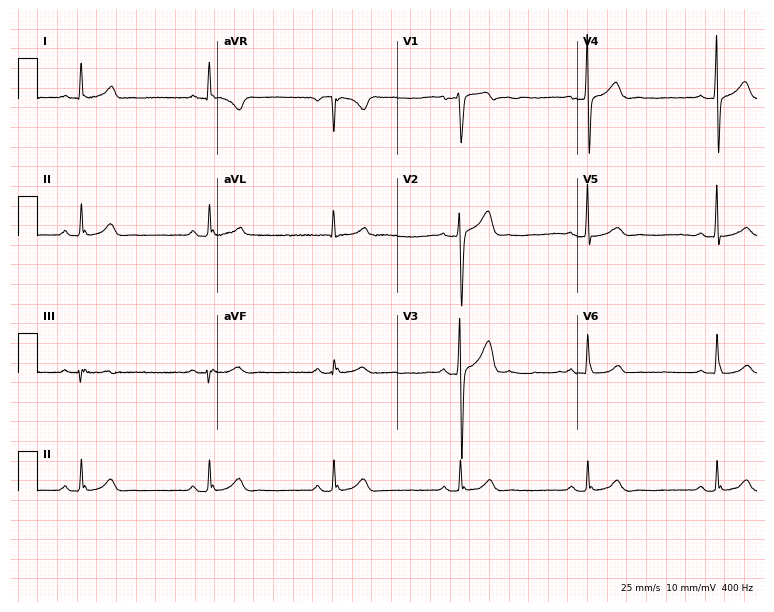
12-lead ECG (7.3-second recording at 400 Hz) from a 44-year-old male. Findings include sinus bradycardia (a sinus rate of 50 beats per minute or less).